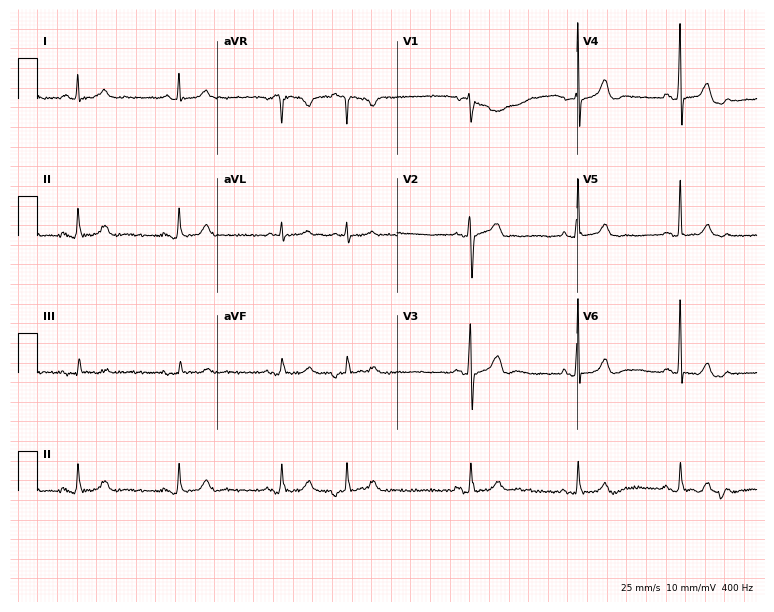
Resting 12-lead electrocardiogram (7.3-second recording at 400 Hz). Patient: an 84-year-old male. None of these six findings is recorded: first-degree AV block, right bundle branch block, left bundle branch block, sinus bradycardia, atrial fibrillation, sinus tachycardia. Findings outside these six are not listed.